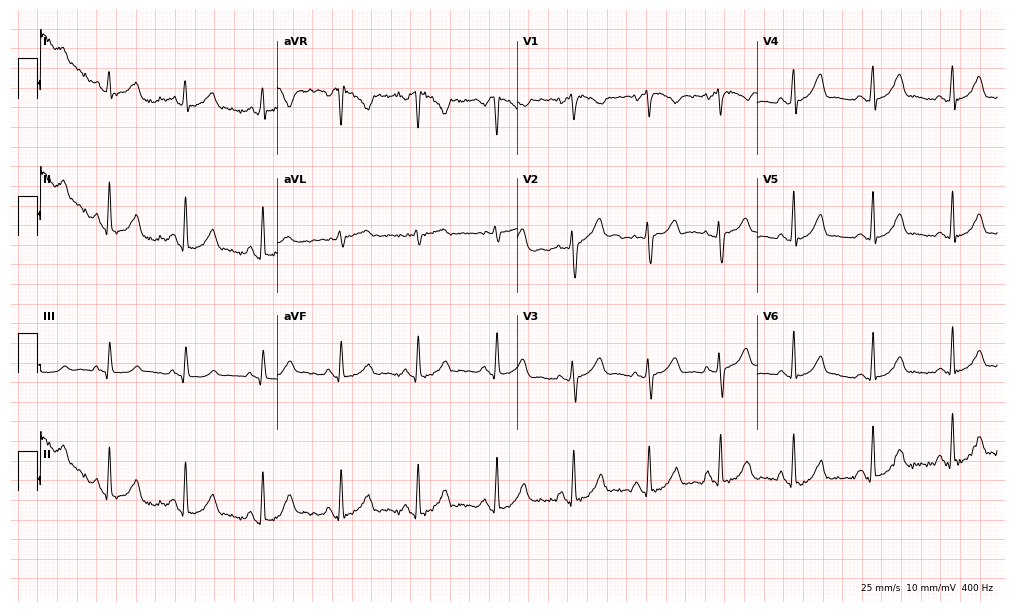
Resting 12-lead electrocardiogram (9.8-second recording at 400 Hz). Patient: a 32-year-old woman. Read as a normal ECG.